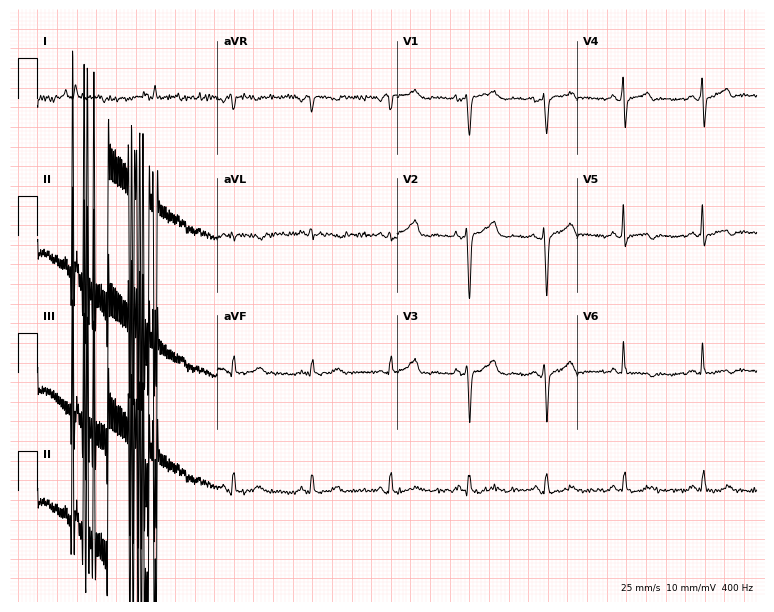
Standard 12-lead ECG recorded from a 56-year-old female patient. None of these six findings is recorded: first-degree AV block, right bundle branch block (RBBB), left bundle branch block (LBBB), sinus bradycardia, atrial fibrillation (AF), sinus tachycardia.